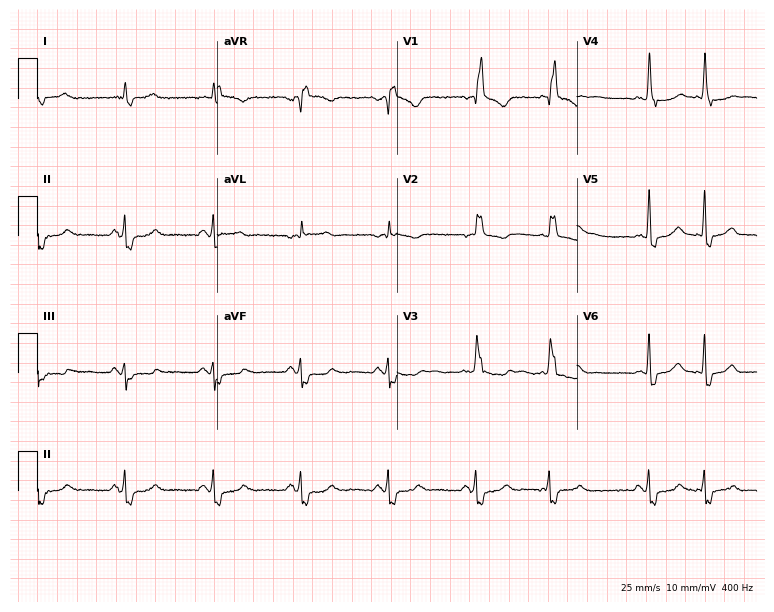
Electrocardiogram, an 82-year-old male patient. Interpretation includes right bundle branch block.